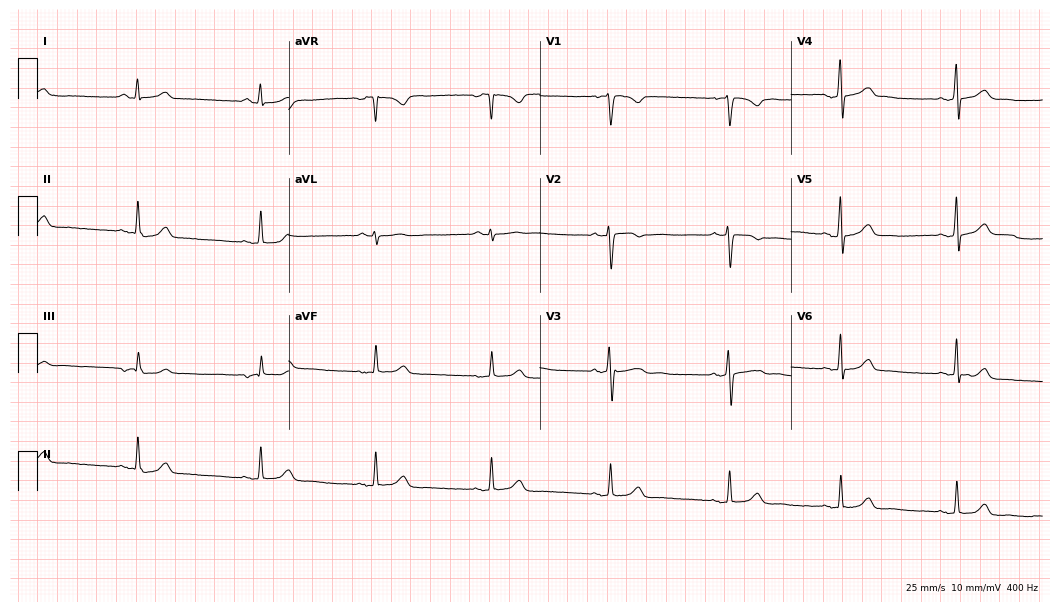
12-lead ECG (10.2-second recording at 400 Hz) from a 37-year-old woman. Screened for six findings — first-degree AV block, right bundle branch block, left bundle branch block, sinus bradycardia, atrial fibrillation, sinus tachycardia — none is recorded. Other findings, if any, are not listed.